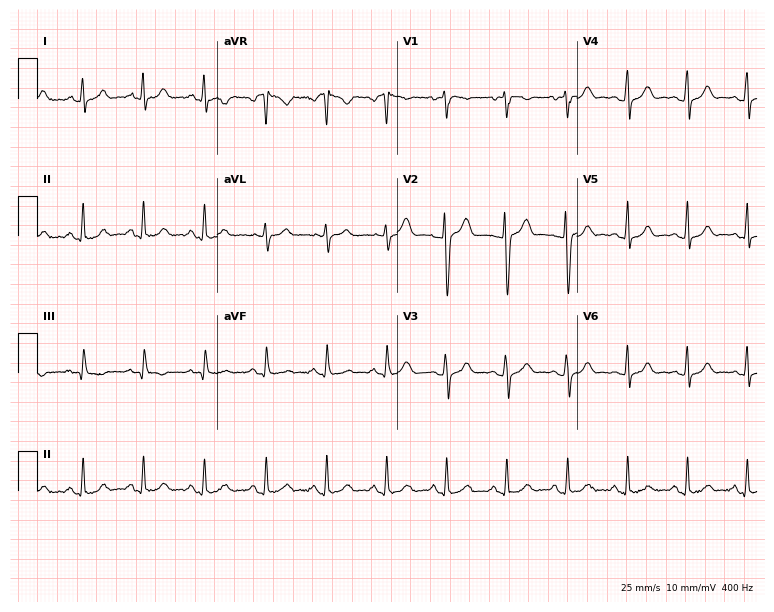
Electrocardiogram, a 30-year-old female patient. Overall reading on record: normal ECG.